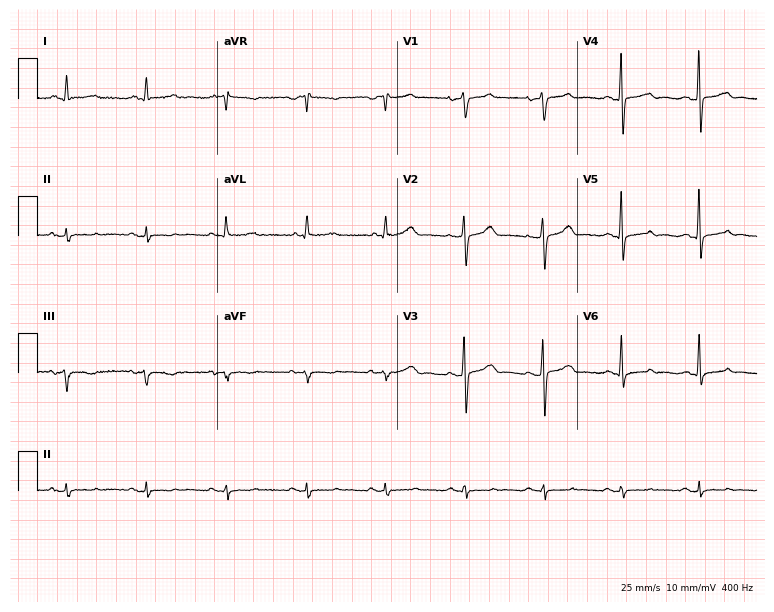
Electrocardiogram (7.3-second recording at 400 Hz), a male patient, 76 years old. Of the six screened findings (first-degree AV block, right bundle branch block, left bundle branch block, sinus bradycardia, atrial fibrillation, sinus tachycardia), none is recorded. Findings outside these six are not listed.